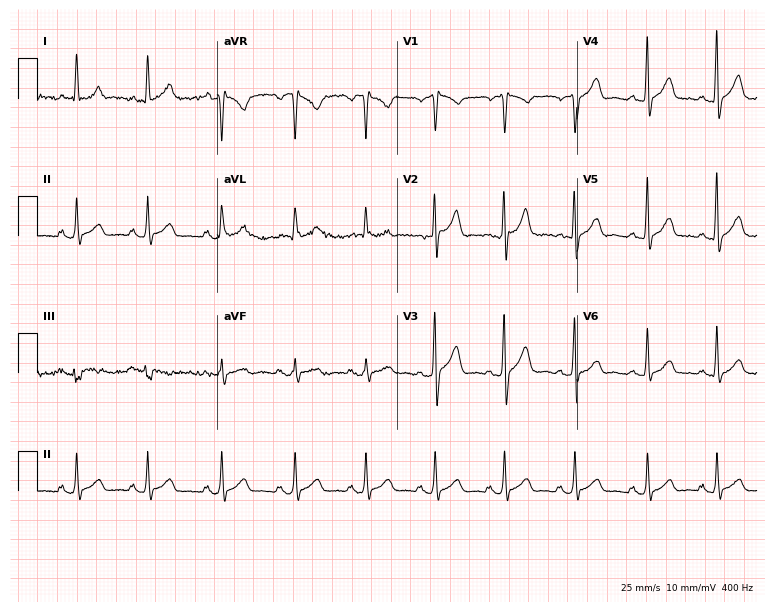
12-lead ECG from a man, 40 years old. Recorded interpretation: within normal limits.